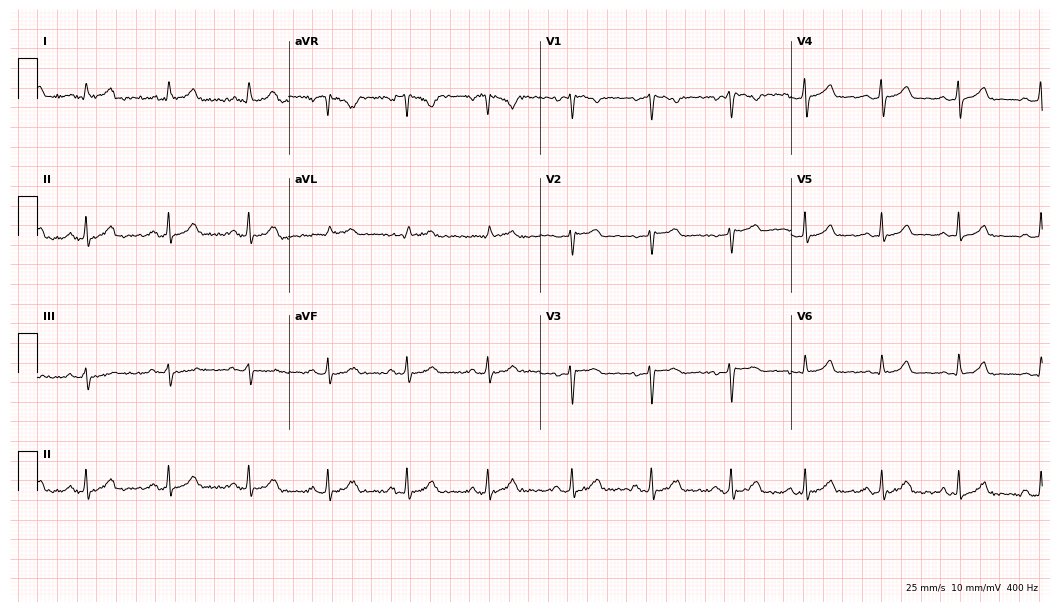
12-lead ECG from a woman, 34 years old (10.2-second recording at 400 Hz). Recorded interpretation: within normal limits.